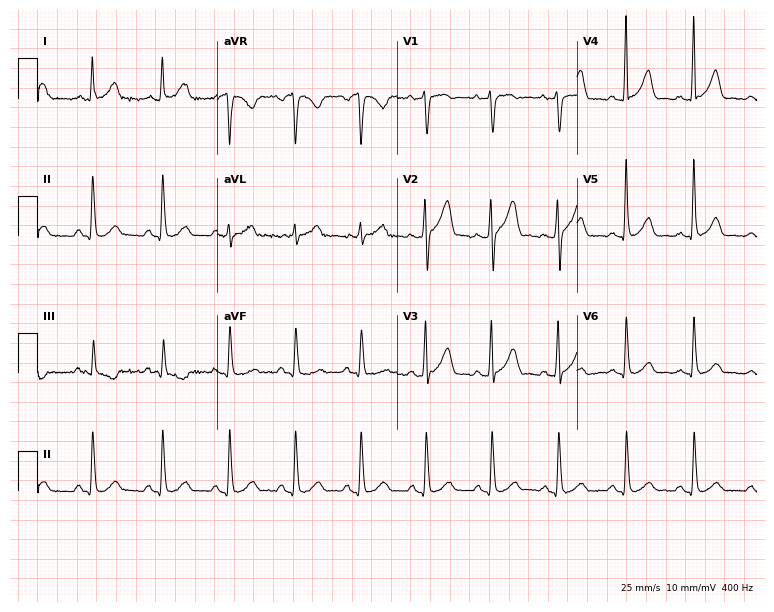
12-lead ECG from a male, 49 years old (7.3-second recording at 400 Hz). Recorded interpretation: within normal limits.